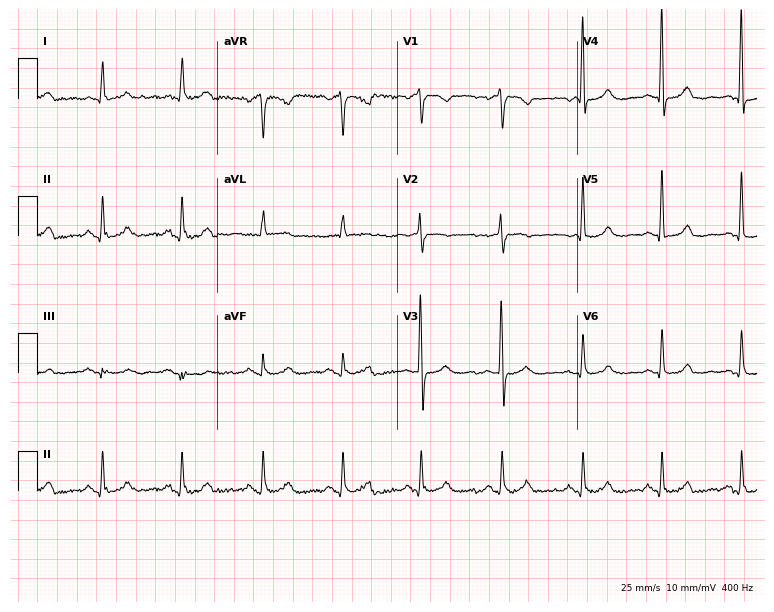
ECG — a 59-year-old female patient. Screened for six findings — first-degree AV block, right bundle branch block (RBBB), left bundle branch block (LBBB), sinus bradycardia, atrial fibrillation (AF), sinus tachycardia — none is recorded. Findings outside these six are not listed.